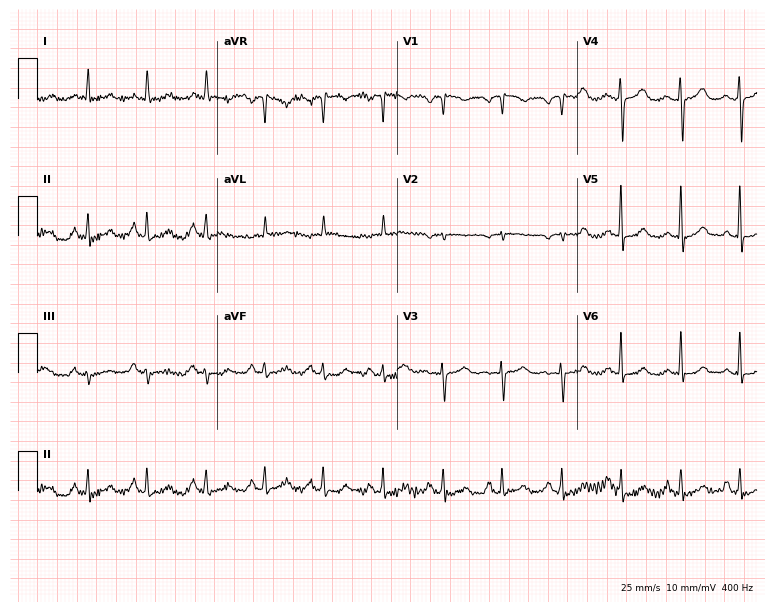
Electrocardiogram, a female, 63 years old. Of the six screened findings (first-degree AV block, right bundle branch block, left bundle branch block, sinus bradycardia, atrial fibrillation, sinus tachycardia), none is recorded. Other findings, if any, are not listed.